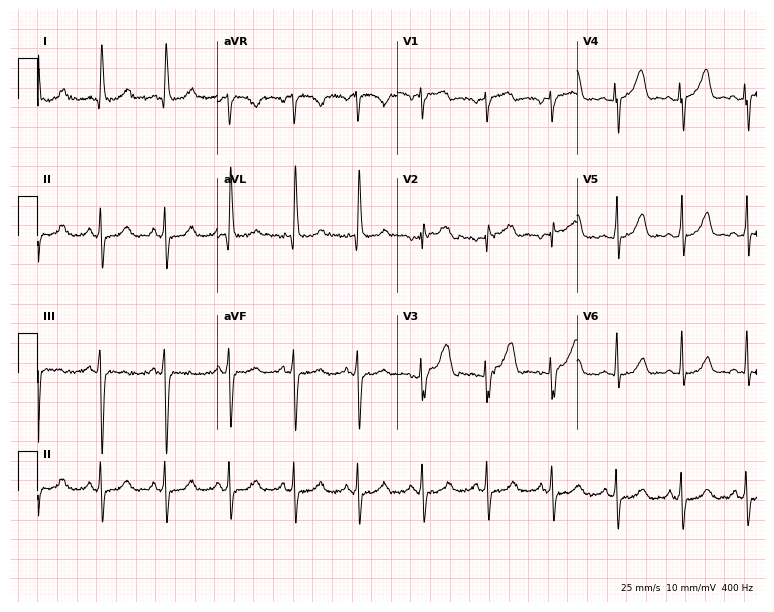
Resting 12-lead electrocardiogram. Patient: a 52-year-old woman. None of these six findings is recorded: first-degree AV block, right bundle branch block, left bundle branch block, sinus bradycardia, atrial fibrillation, sinus tachycardia.